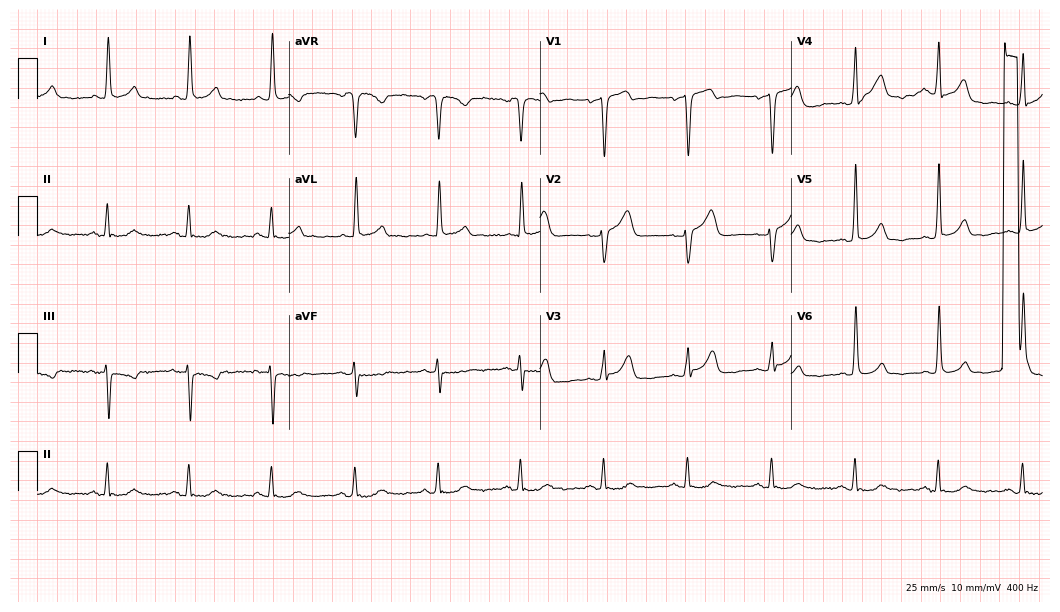
12-lead ECG from a 67-year-old female patient. Screened for six findings — first-degree AV block, right bundle branch block, left bundle branch block, sinus bradycardia, atrial fibrillation, sinus tachycardia — none is recorded. Other findings, if any, are not listed.